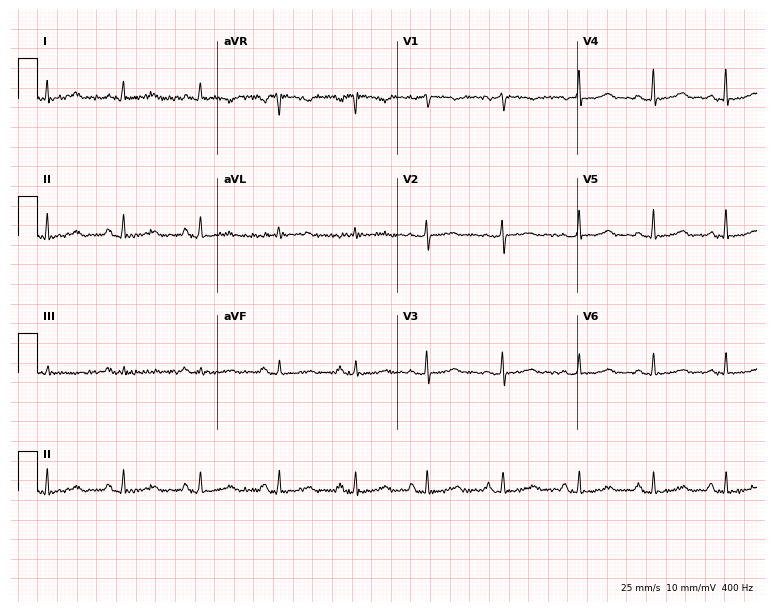
12-lead ECG from a female patient, 45 years old (7.3-second recording at 400 Hz). No first-degree AV block, right bundle branch block, left bundle branch block, sinus bradycardia, atrial fibrillation or sinus tachycardia recorded for this tracing.